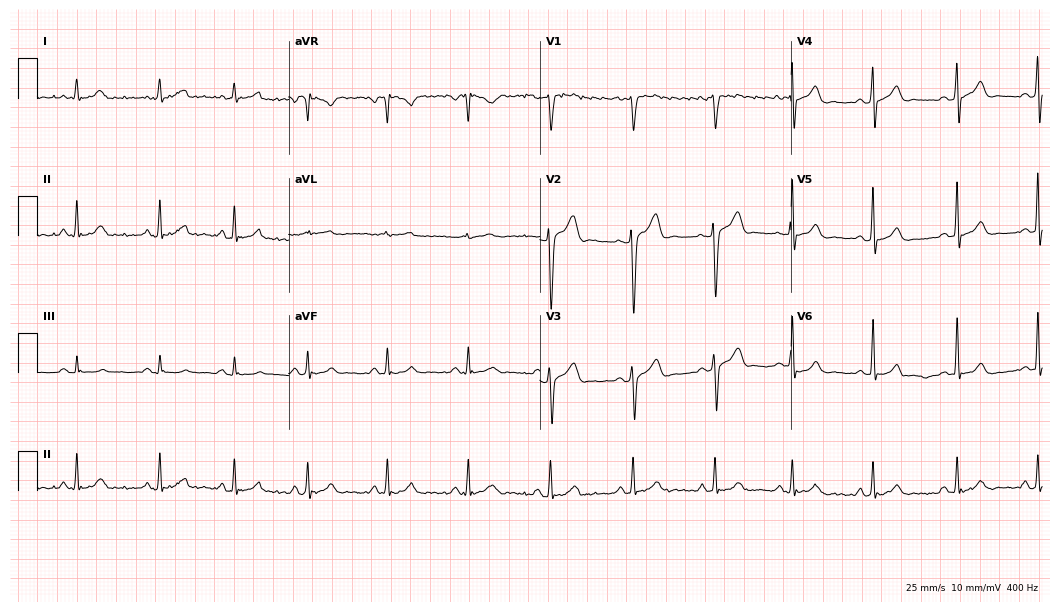
Electrocardiogram (10.2-second recording at 400 Hz), a man, 24 years old. Overall reading on record: normal ECG.